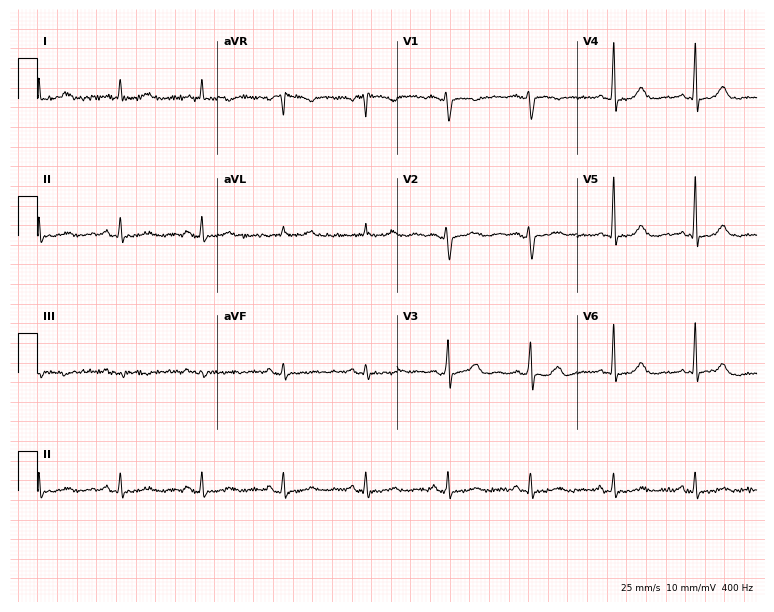
ECG (7.3-second recording at 400 Hz) — a 48-year-old female patient. Labelled as a normal ECG.